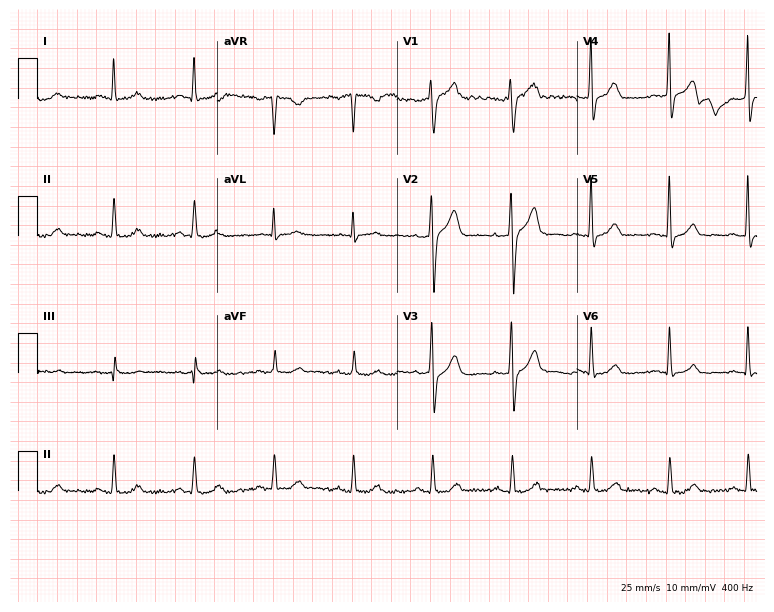
12-lead ECG from a male patient, 48 years old (7.3-second recording at 400 Hz). No first-degree AV block, right bundle branch block, left bundle branch block, sinus bradycardia, atrial fibrillation or sinus tachycardia recorded for this tracing.